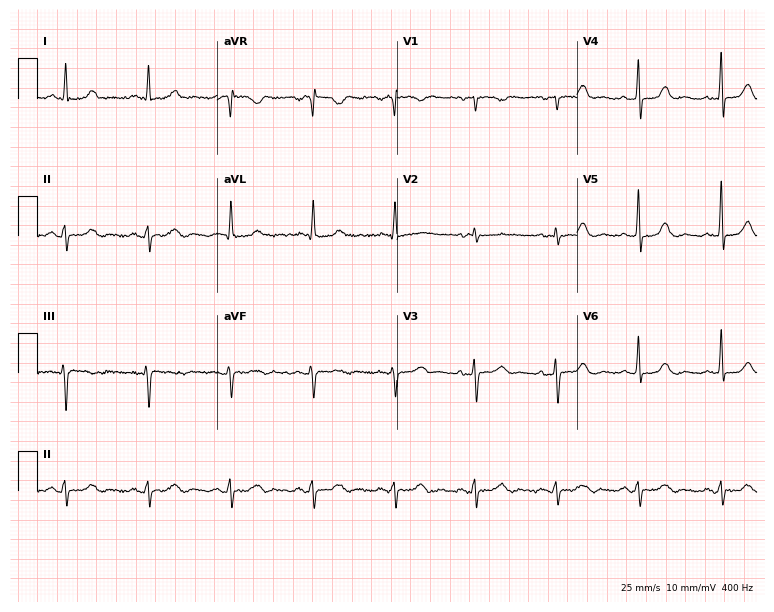
Resting 12-lead electrocardiogram. Patient: a 52-year-old woman. None of these six findings is recorded: first-degree AV block, right bundle branch block, left bundle branch block, sinus bradycardia, atrial fibrillation, sinus tachycardia. Other findings, if any, are not listed.